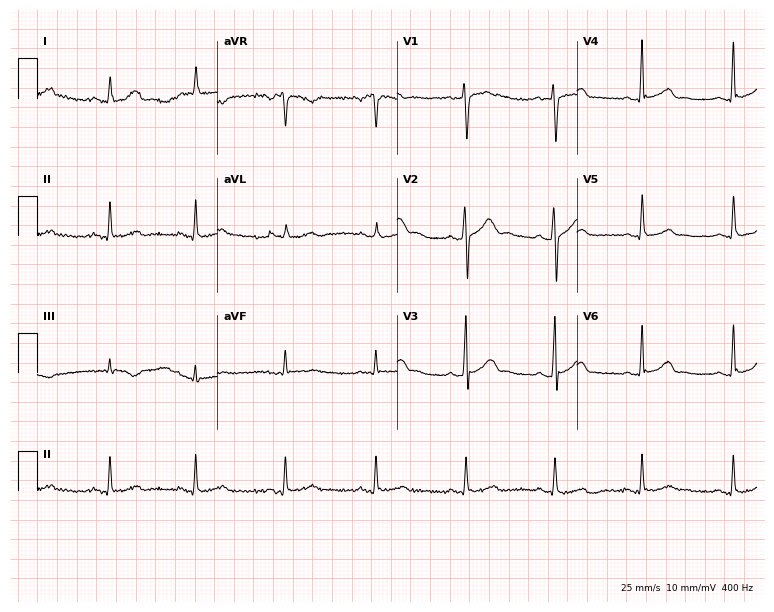
12-lead ECG from a male, 35 years old. Labelled as a normal ECG.